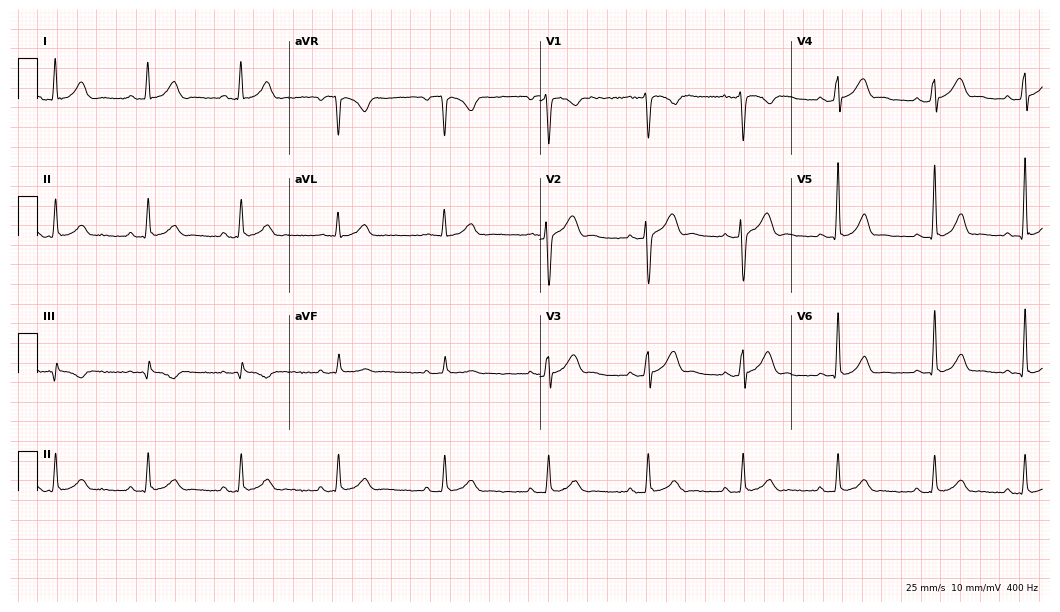
ECG (10.2-second recording at 400 Hz) — a 26-year-old male. Labelled as a normal ECG.